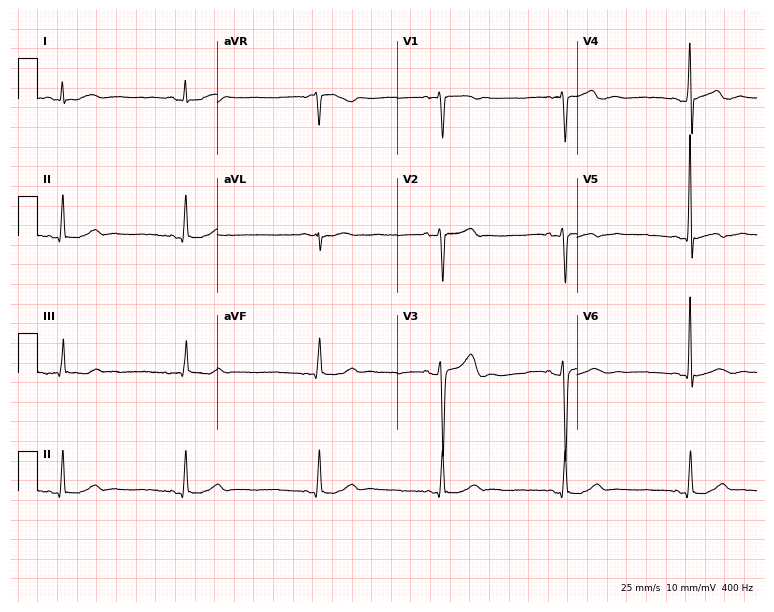
12-lead ECG from a man, 55 years old (7.3-second recording at 400 Hz). Shows sinus bradycardia (a sinus rate of 50 beats per minute or less).